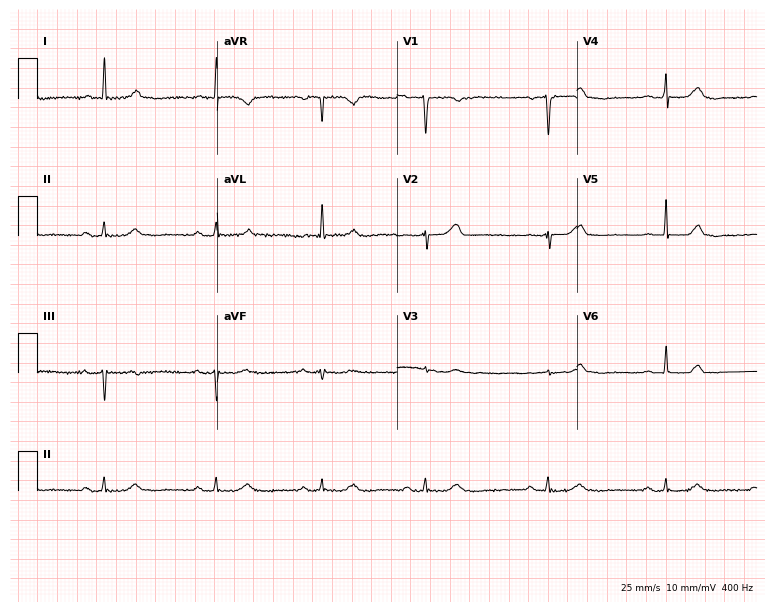
Standard 12-lead ECG recorded from a 78-year-old woman (7.3-second recording at 400 Hz). None of these six findings is recorded: first-degree AV block, right bundle branch block, left bundle branch block, sinus bradycardia, atrial fibrillation, sinus tachycardia. Only these six findings were labelled.